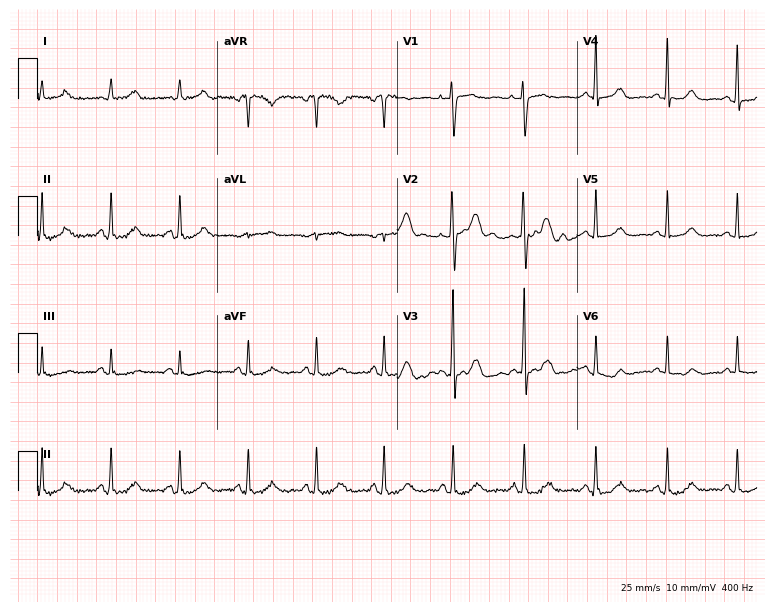
Electrocardiogram (7.3-second recording at 400 Hz), a 45-year-old male patient. Overall reading on record: normal ECG.